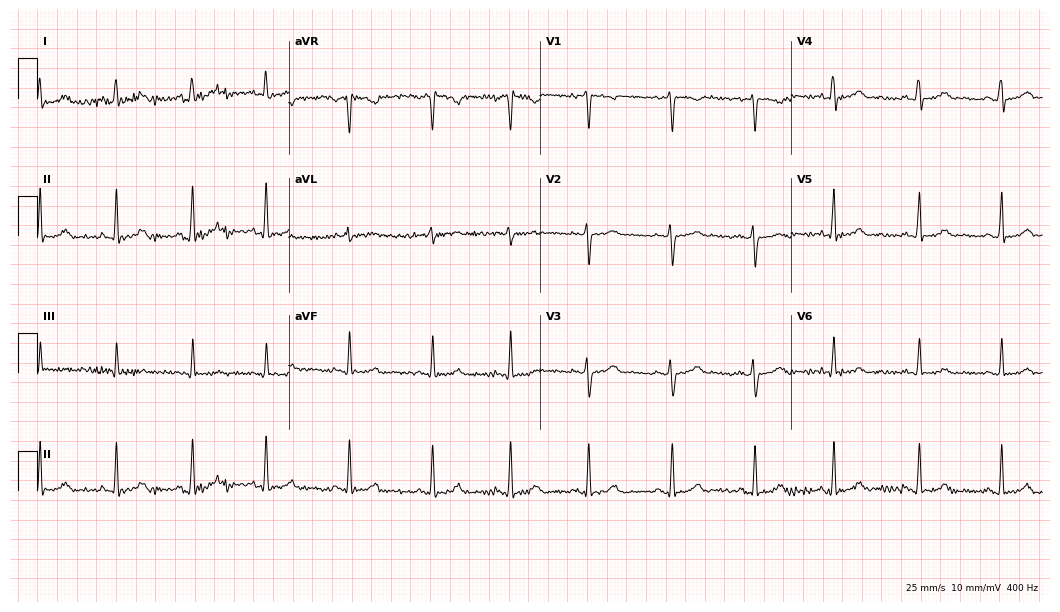
ECG — a female patient, 26 years old. Labelled as a normal ECG.